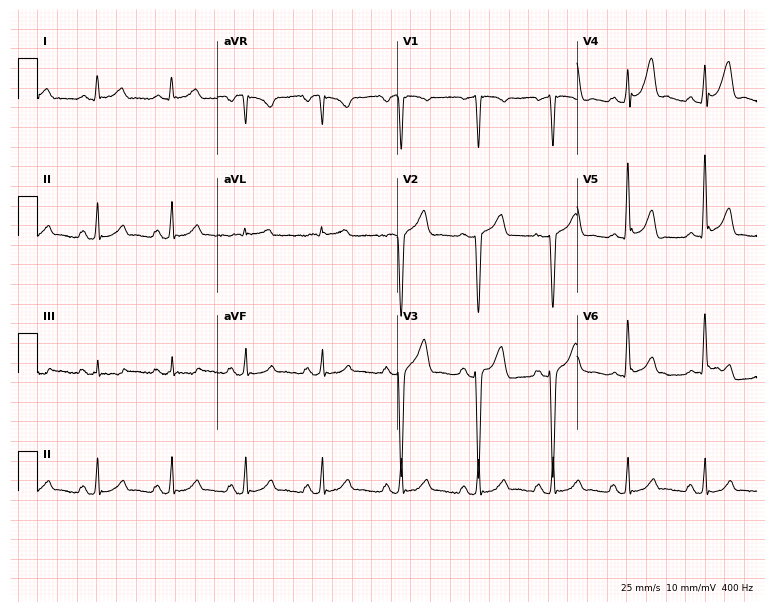
ECG (7.3-second recording at 400 Hz) — a 44-year-old male patient. Screened for six findings — first-degree AV block, right bundle branch block (RBBB), left bundle branch block (LBBB), sinus bradycardia, atrial fibrillation (AF), sinus tachycardia — none is recorded. Only these six findings were labelled.